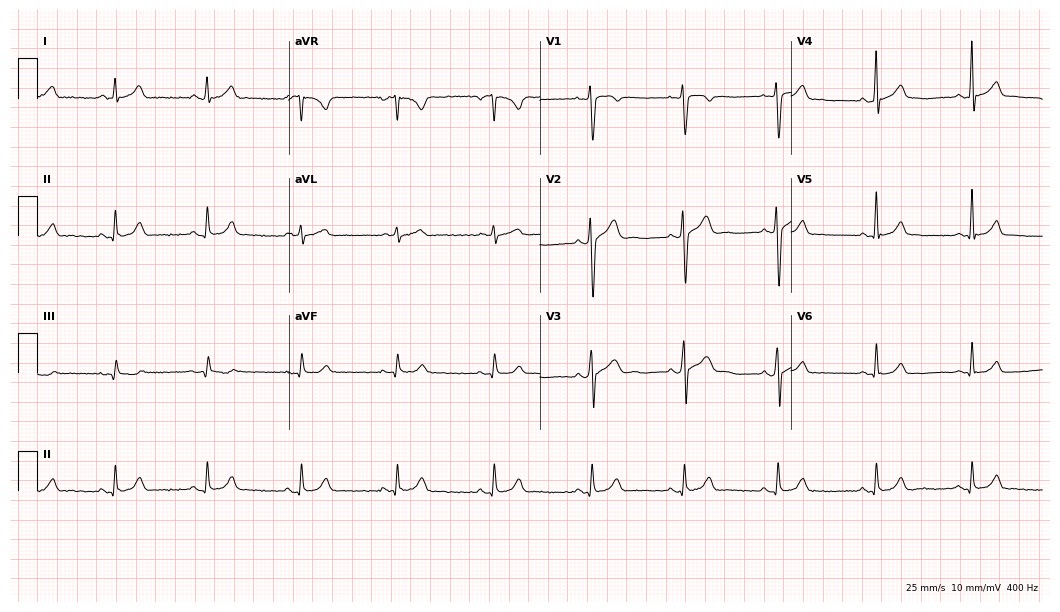
Resting 12-lead electrocardiogram (10.2-second recording at 400 Hz). Patient: a 35-year-old man. None of these six findings is recorded: first-degree AV block, right bundle branch block, left bundle branch block, sinus bradycardia, atrial fibrillation, sinus tachycardia.